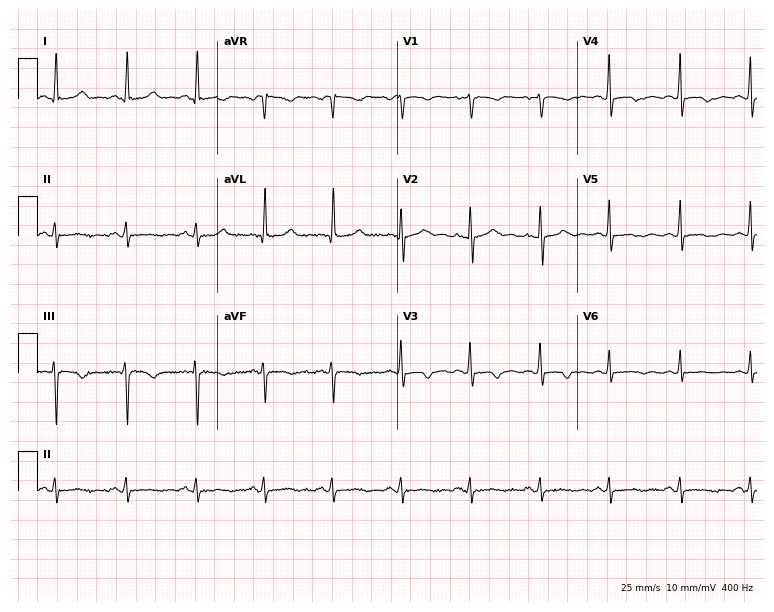
12-lead ECG (7.3-second recording at 400 Hz) from a 48-year-old woman. Screened for six findings — first-degree AV block, right bundle branch block, left bundle branch block, sinus bradycardia, atrial fibrillation, sinus tachycardia — none is recorded. Other findings, if any, are not listed.